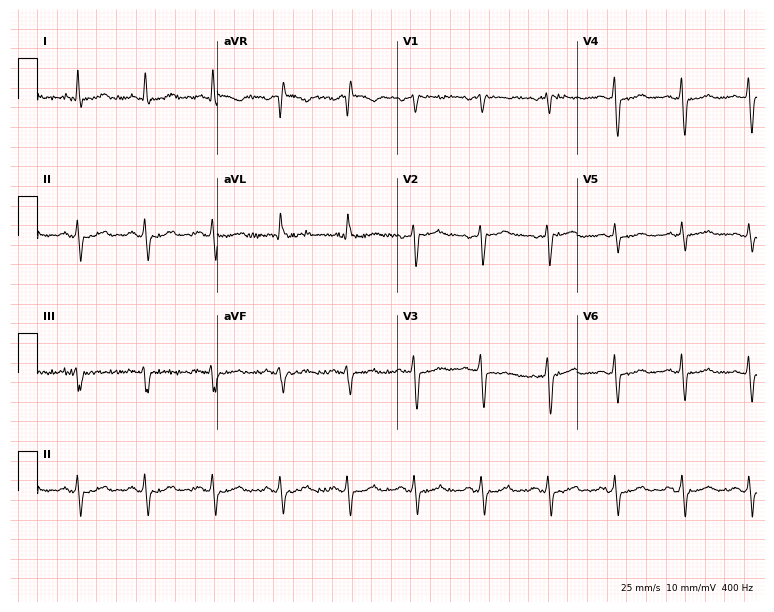
ECG — a male patient, 63 years old. Screened for six findings — first-degree AV block, right bundle branch block, left bundle branch block, sinus bradycardia, atrial fibrillation, sinus tachycardia — none is recorded.